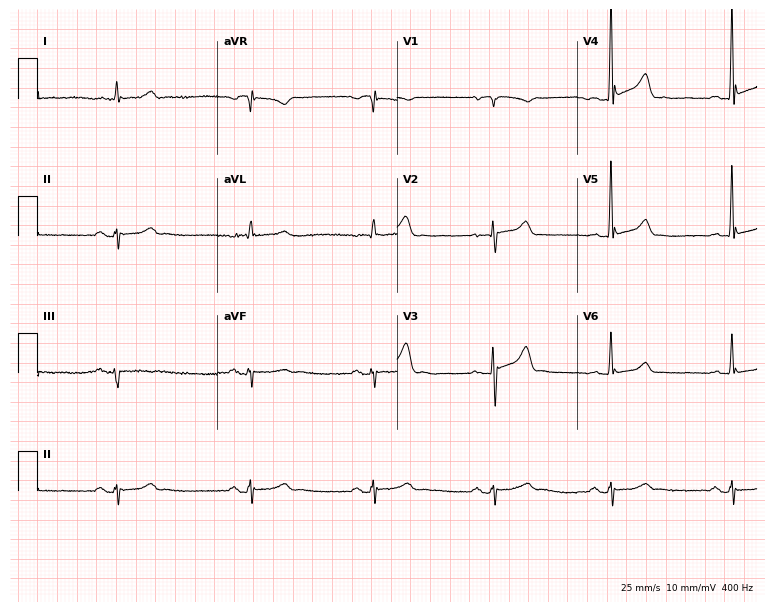
Resting 12-lead electrocardiogram (7.3-second recording at 400 Hz). Patient: a 51-year-old man. The tracing shows sinus bradycardia (a sinus rate of 50 beats per minute or less).